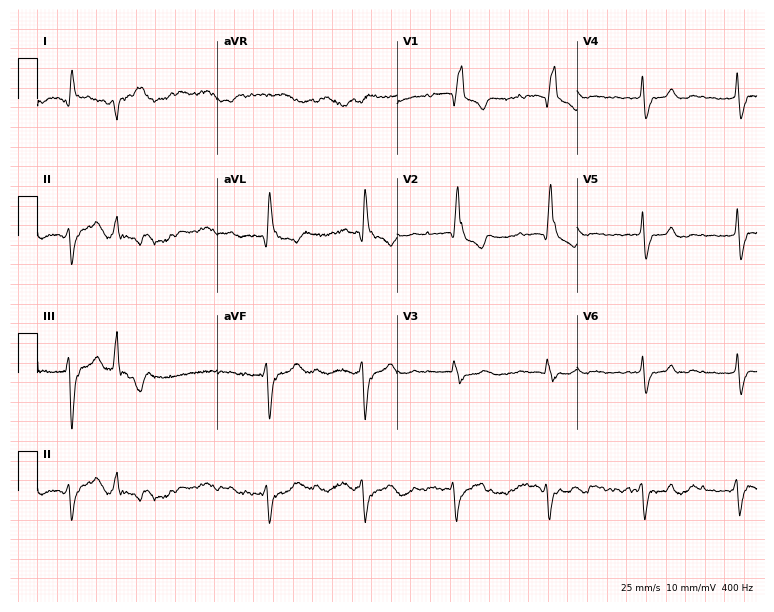
Resting 12-lead electrocardiogram. Patient: a 68-year-old woman. None of these six findings is recorded: first-degree AV block, right bundle branch block (RBBB), left bundle branch block (LBBB), sinus bradycardia, atrial fibrillation (AF), sinus tachycardia. Only these six findings were labelled.